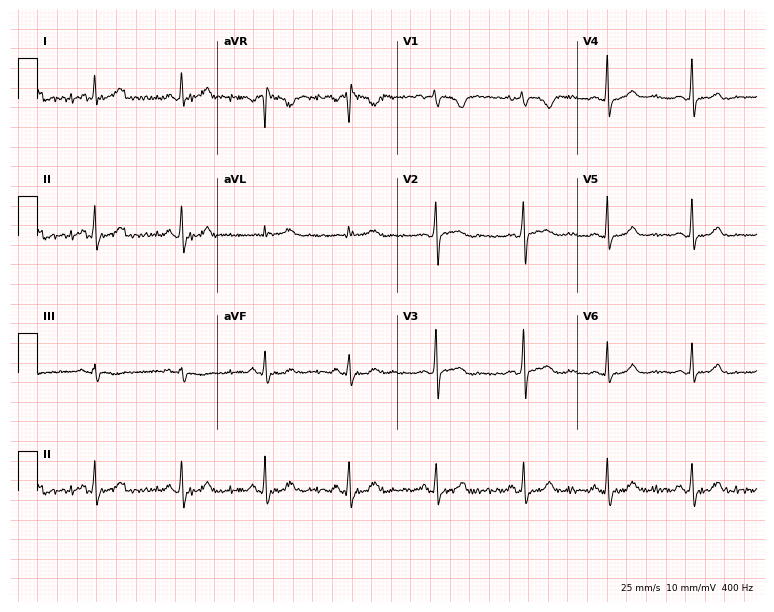
Electrocardiogram, a female patient, 33 years old. Overall reading on record: normal ECG.